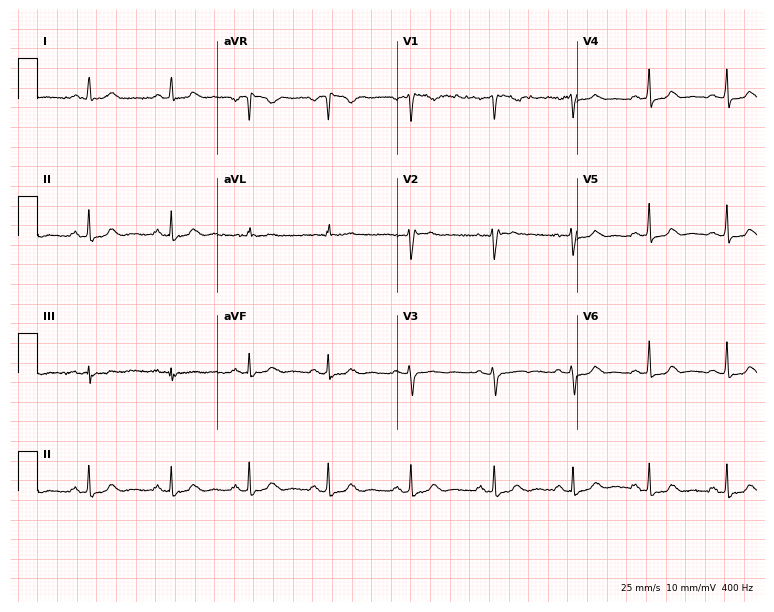
Standard 12-lead ECG recorded from a 49-year-old female patient. None of these six findings is recorded: first-degree AV block, right bundle branch block, left bundle branch block, sinus bradycardia, atrial fibrillation, sinus tachycardia. Findings outside these six are not listed.